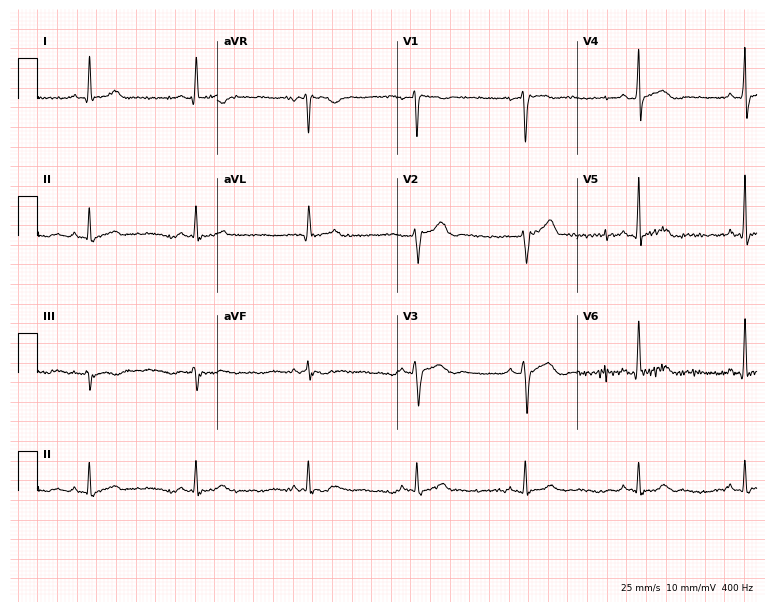
Resting 12-lead electrocardiogram (7.3-second recording at 400 Hz). Patient: a man, 46 years old. None of these six findings is recorded: first-degree AV block, right bundle branch block (RBBB), left bundle branch block (LBBB), sinus bradycardia, atrial fibrillation (AF), sinus tachycardia. Only these six findings were labelled.